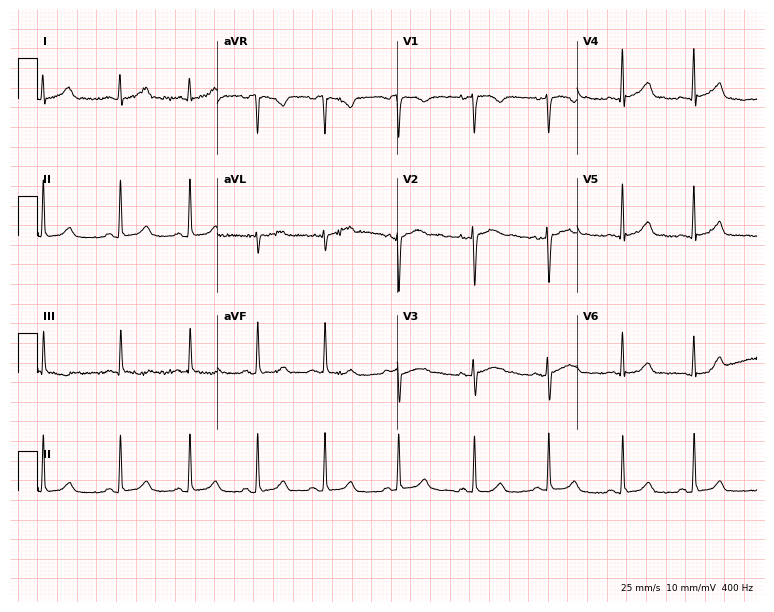
12-lead ECG from a female, 28 years old (7.3-second recording at 400 Hz). Recorded interpretation: within normal limits.